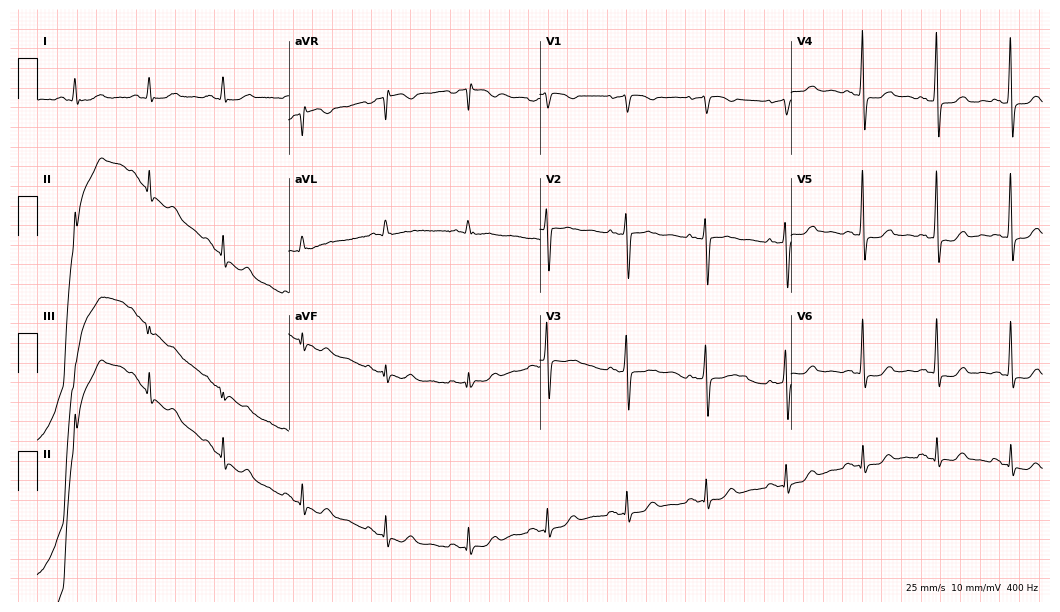
Standard 12-lead ECG recorded from a 46-year-old female. None of these six findings is recorded: first-degree AV block, right bundle branch block, left bundle branch block, sinus bradycardia, atrial fibrillation, sinus tachycardia.